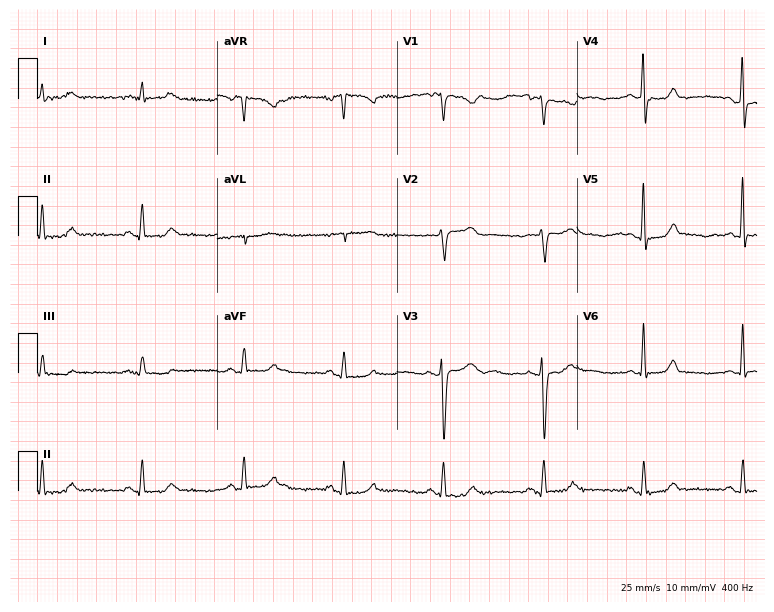
12-lead ECG from a 46-year-old female patient (7.3-second recording at 400 Hz). Recorded interpretation: within normal limits.